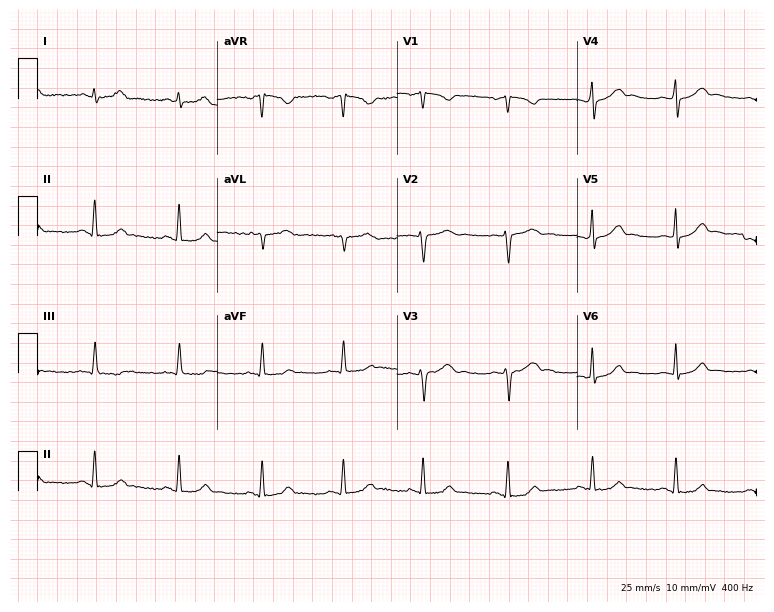
Standard 12-lead ECG recorded from a 34-year-old female patient. None of these six findings is recorded: first-degree AV block, right bundle branch block, left bundle branch block, sinus bradycardia, atrial fibrillation, sinus tachycardia. Other findings, if any, are not listed.